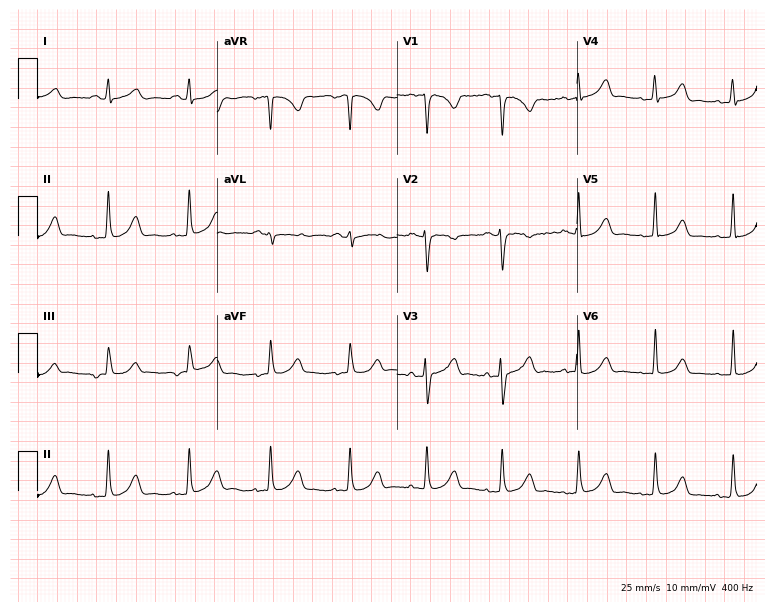
12-lead ECG from a 33-year-old female patient (7.3-second recording at 400 Hz). No first-degree AV block, right bundle branch block, left bundle branch block, sinus bradycardia, atrial fibrillation or sinus tachycardia recorded for this tracing.